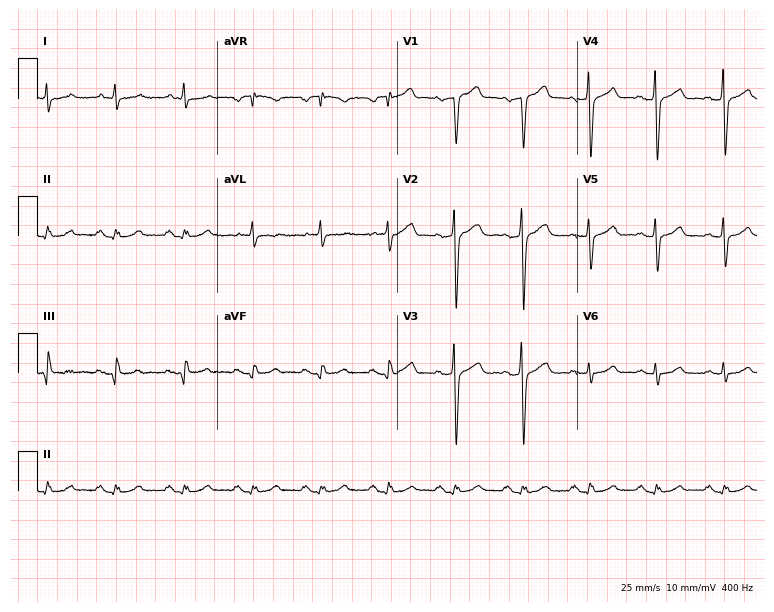
Resting 12-lead electrocardiogram. Patient: a male, 69 years old. None of these six findings is recorded: first-degree AV block, right bundle branch block, left bundle branch block, sinus bradycardia, atrial fibrillation, sinus tachycardia.